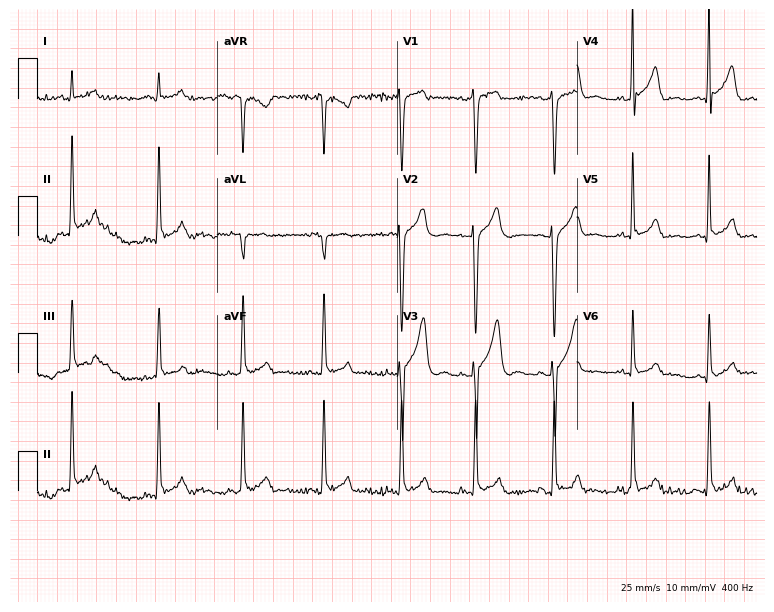
ECG — a 35-year-old male patient. Screened for six findings — first-degree AV block, right bundle branch block (RBBB), left bundle branch block (LBBB), sinus bradycardia, atrial fibrillation (AF), sinus tachycardia — none is recorded. Other findings, if any, are not listed.